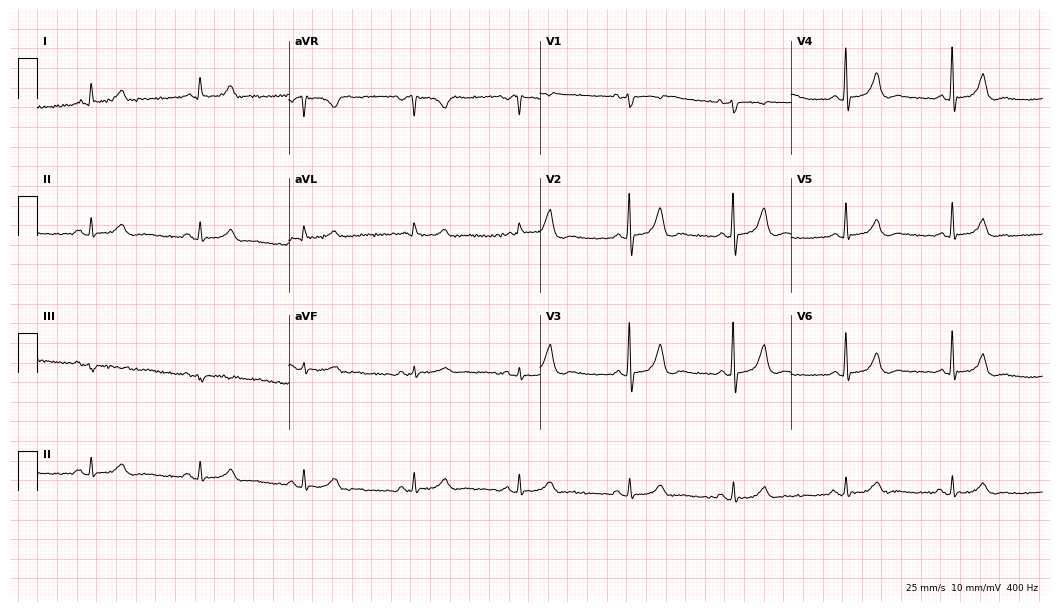
12-lead ECG from a 69-year-old female patient (10.2-second recording at 400 Hz). Recorded interpretation: within normal limits.